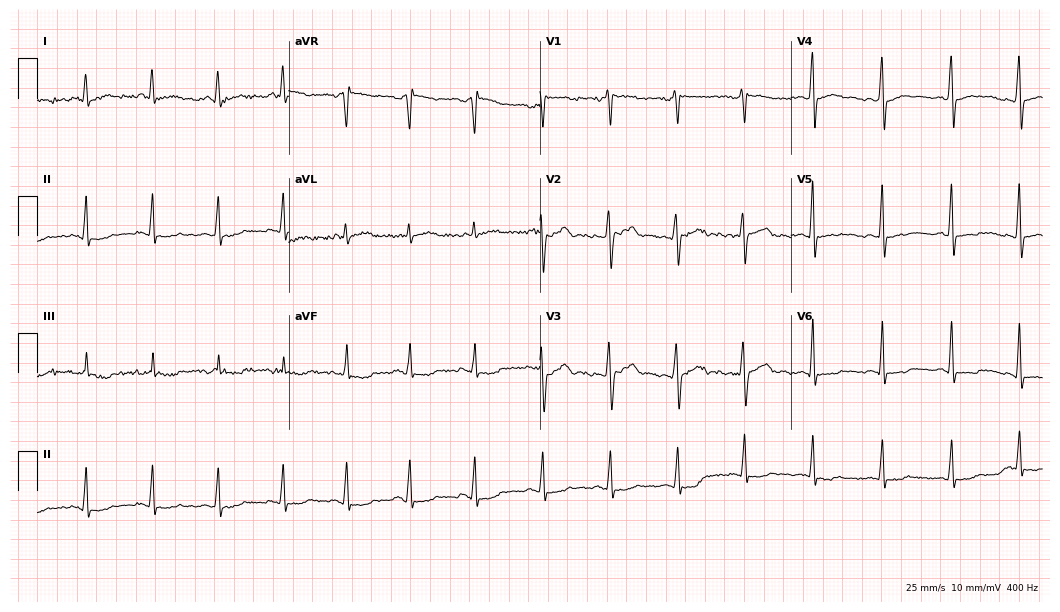
12-lead ECG from a 35-year-old male. No first-degree AV block, right bundle branch block (RBBB), left bundle branch block (LBBB), sinus bradycardia, atrial fibrillation (AF) or sinus tachycardia recorded for this tracing. Only these six findings were labelled.